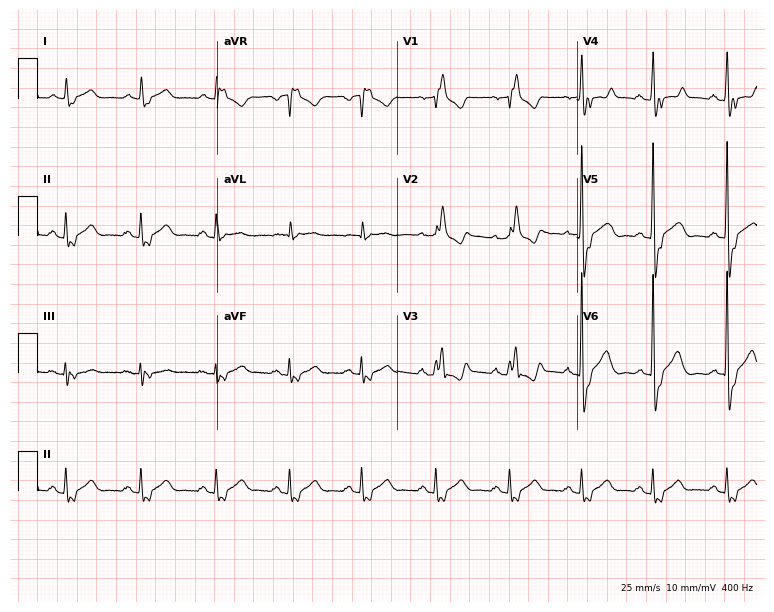
Standard 12-lead ECG recorded from a man, 64 years old. None of these six findings is recorded: first-degree AV block, right bundle branch block (RBBB), left bundle branch block (LBBB), sinus bradycardia, atrial fibrillation (AF), sinus tachycardia.